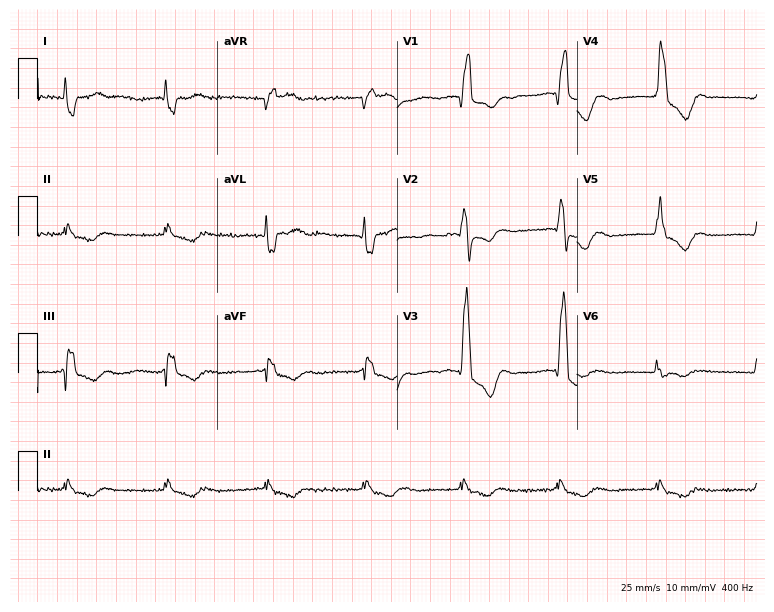
12-lead ECG from a 62-year-old woman. Findings include right bundle branch block.